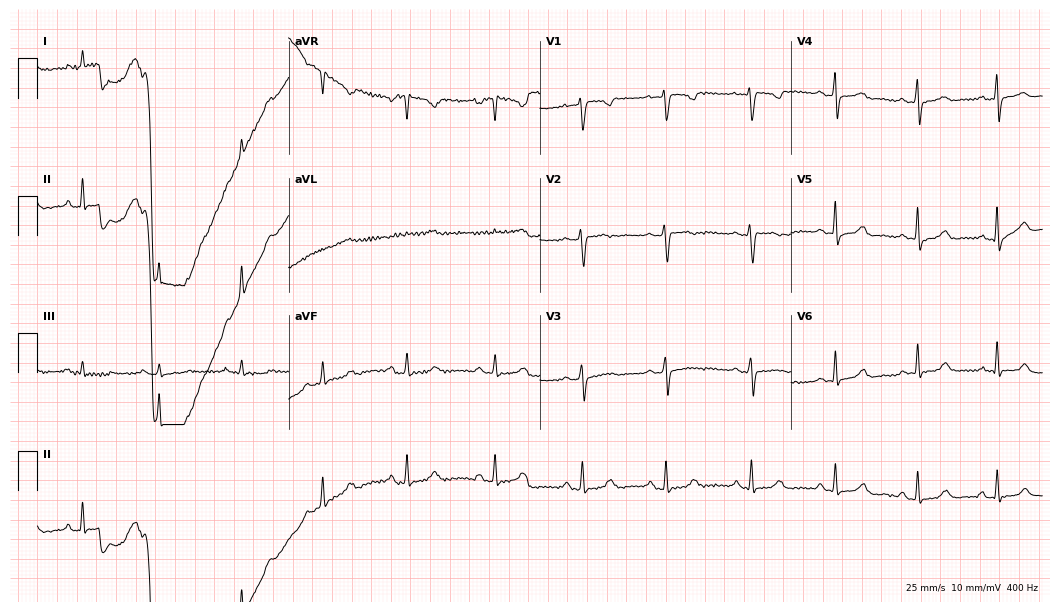
Resting 12-lead electrocardiogram (10.2-second recording at 400 Hz). Patient: a 37-year-old female. Read as a normal ECG.